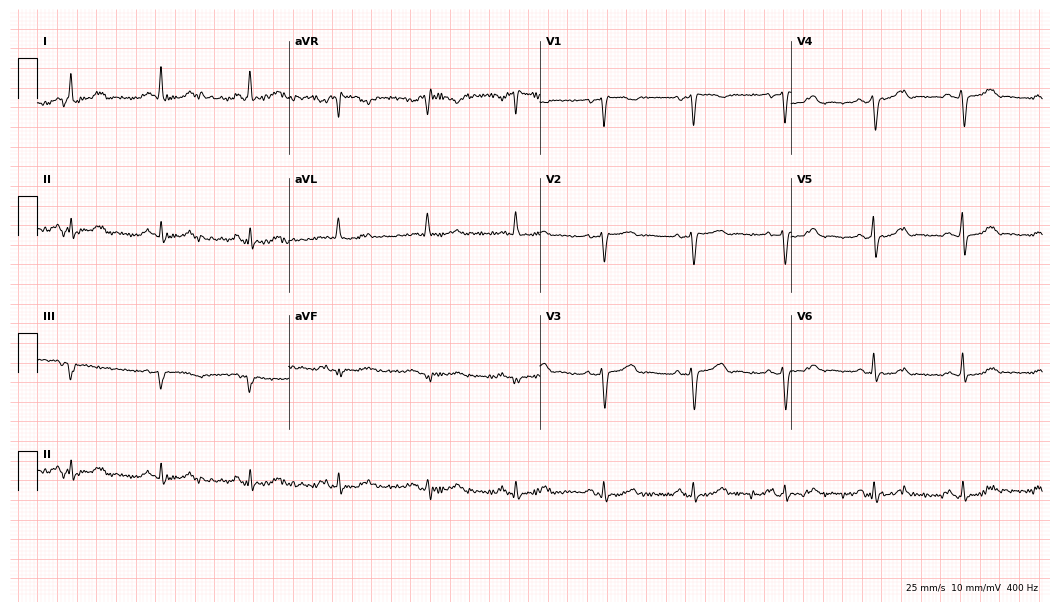
Electrocardiogram, a woman, 51 years old. Of the six screened findings (first-degree AV block, right bundle branch block, left bundle branch block, sinus bradycardia, atrial fibrillation, sinus tachycardia), none is recorded.